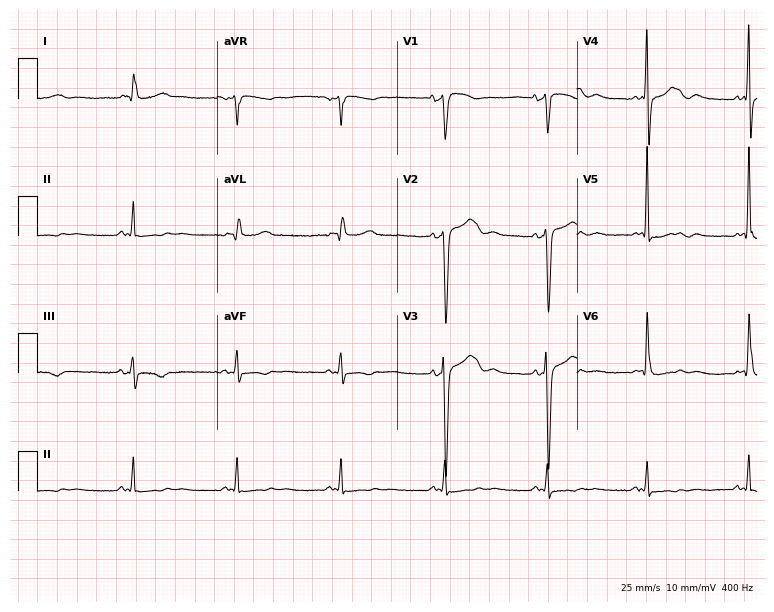
ECG — a 70-year-old male. Screened for six findings — first-degree AV block, right bundle branch block, left bundle branch block, sinus bradycardia, atrial fibrillation, sinus tachycardia — none is recorded. Other findings, if any, are not listed.